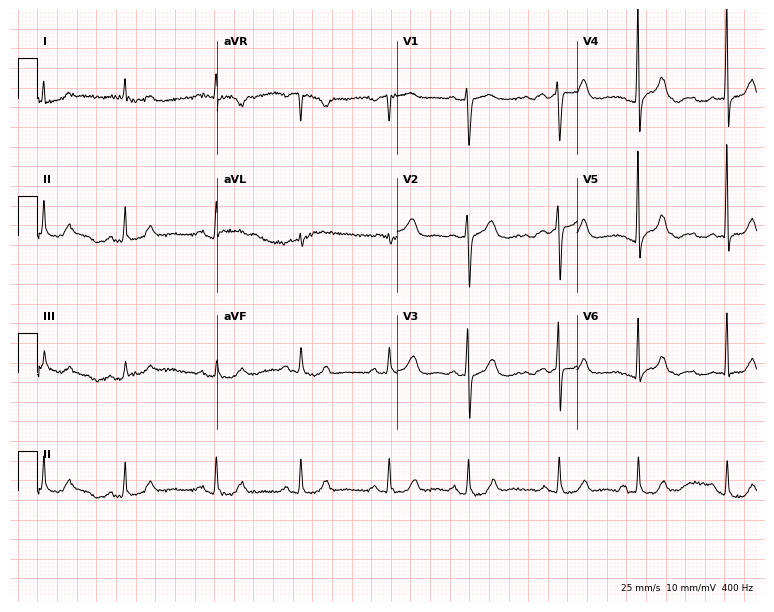
12-lead ECG from a male patient, 63 years old (7.3-second recording at 400 Hz). Recorded interpretation: within normal limits.